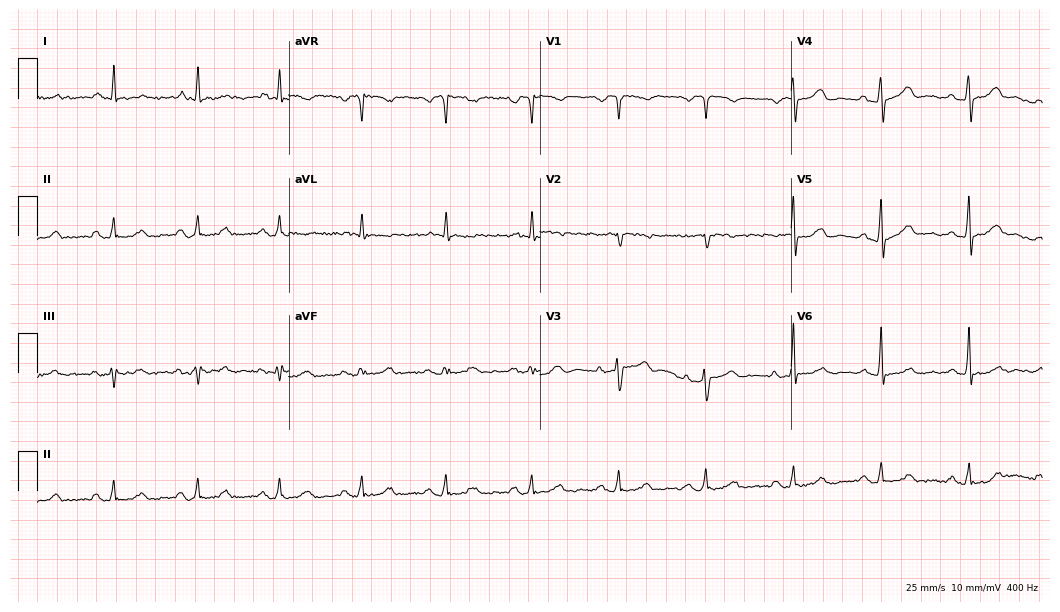
12-lead ECG from a 73-year-old male. No first-degree AV block, right bundle branch block, left bundle branch block, sinus bradycardia, atrial fibrillation or sinus tachycardia recorded for this tracing.